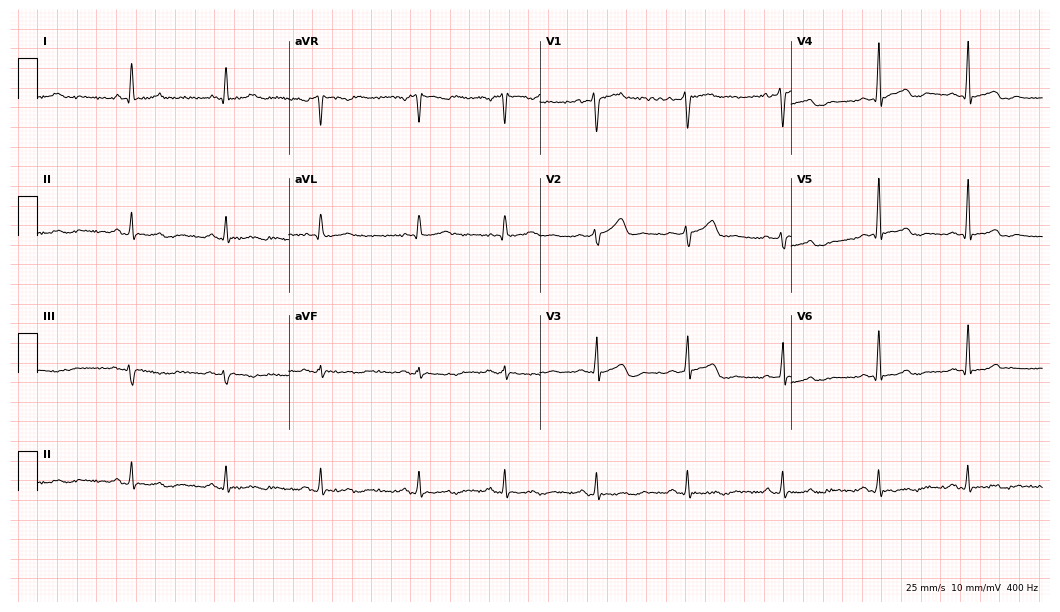
Standard 12-lead ECG recorded from a male, 34 years old. Read as a normal ECG.